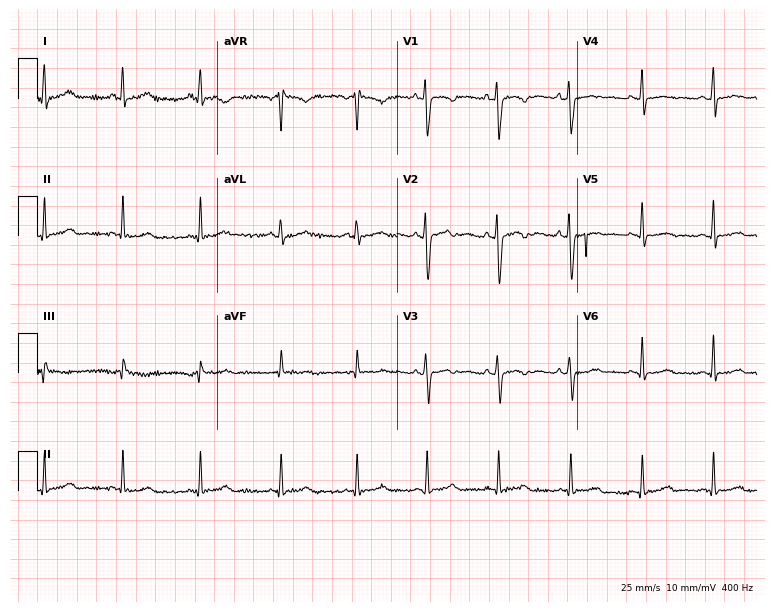
Standard 12-lead ECG recorded from a woman, 24 years old. None of these six findings is recorded: first-degree AV block, right bundle branch block, left bundle branch block, sinus bradycardia, atrial fibrillation, sinus tachycardia.